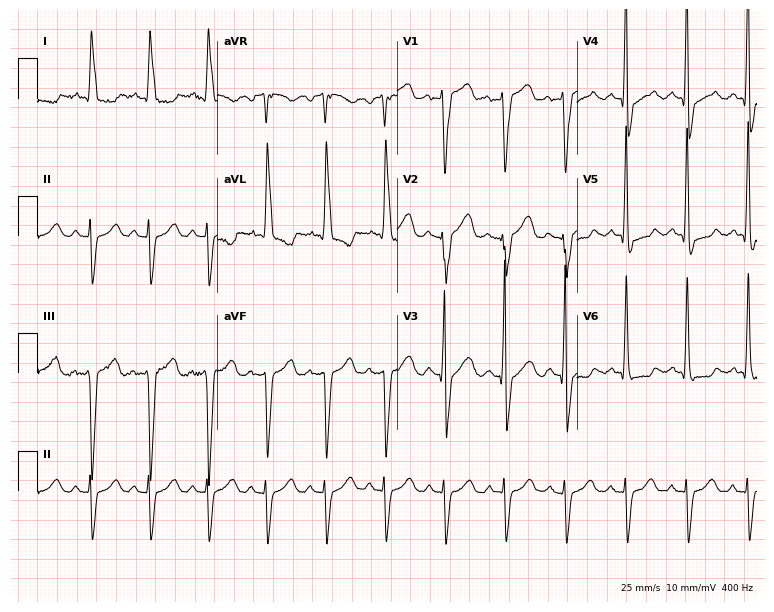
Standard 12-lead ECG recorded from a woman, 71 years old (7.3-second recording at 400 Hz). The tracing shows left bundle branch block.